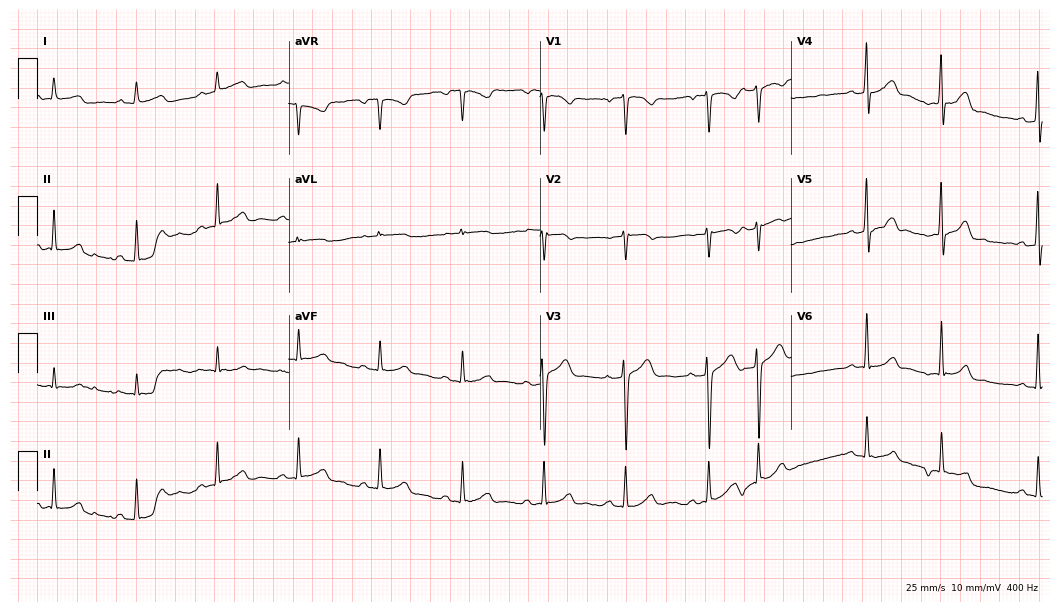
12-lead ECG from a male patient, 49 years old. No first-degree AV block, right bundle branch block, left bundle branch block, sinus bradycardia, atrial fibrillation or sinus tachycardia recorded for this tracing.